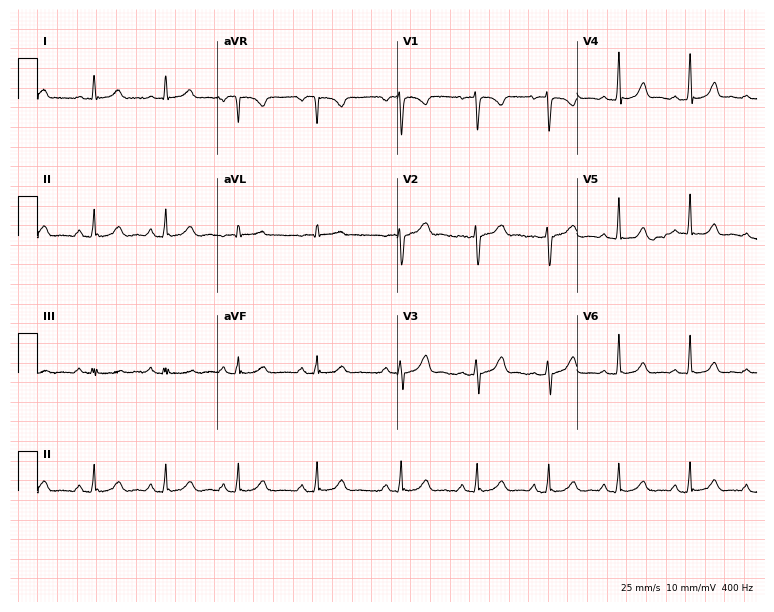
Electrocardiogram (7.3-second recording at 400 Hz), a 32-year-old woman. Of the six screened findings (first-degree AV block, right bundle branch block, left bundle branch block, sinus bradycardia, atrial fibrillation, sinus tachycardia), none is recorded. Only these six findings were labelled.